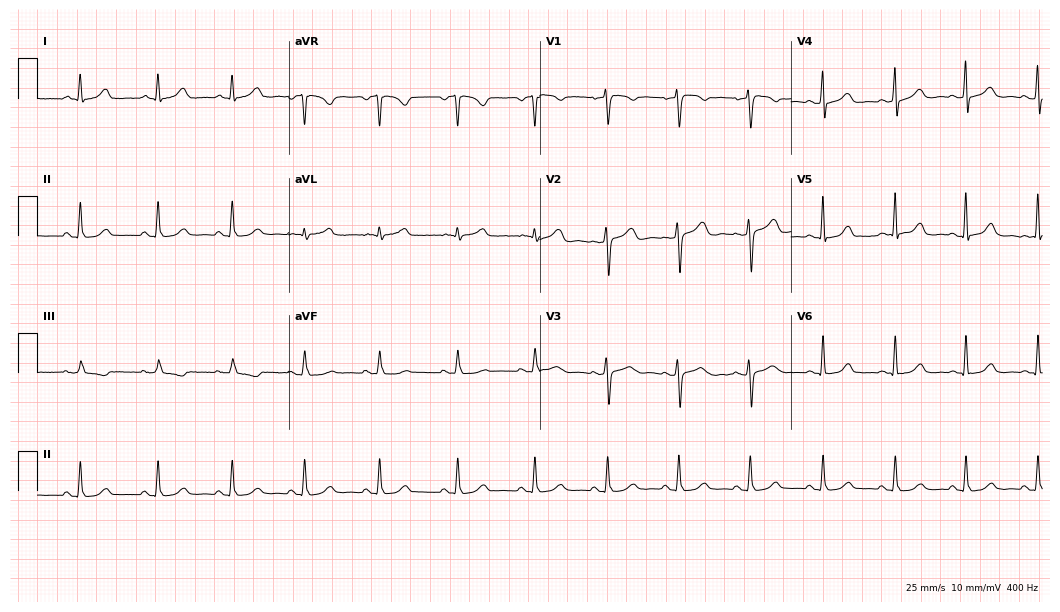
Standard 12-lead ECG recorded from a 52-year-old woman. Read as a normal ECG.